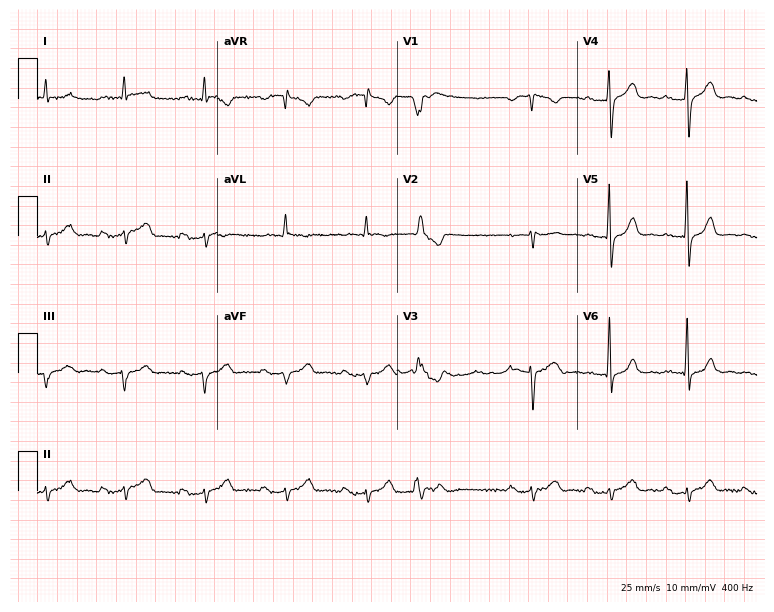
Standard 12-lead ECG recorded from a man, 72 years old (7.3-second recording at 400 Hz). None of these six findings is recorded: first-degree AV block, right bundle branch block, left bundle branch block, sinus bradycardia, atrial fibrillation, sinus tachycardia. Only these six findings were labelled.